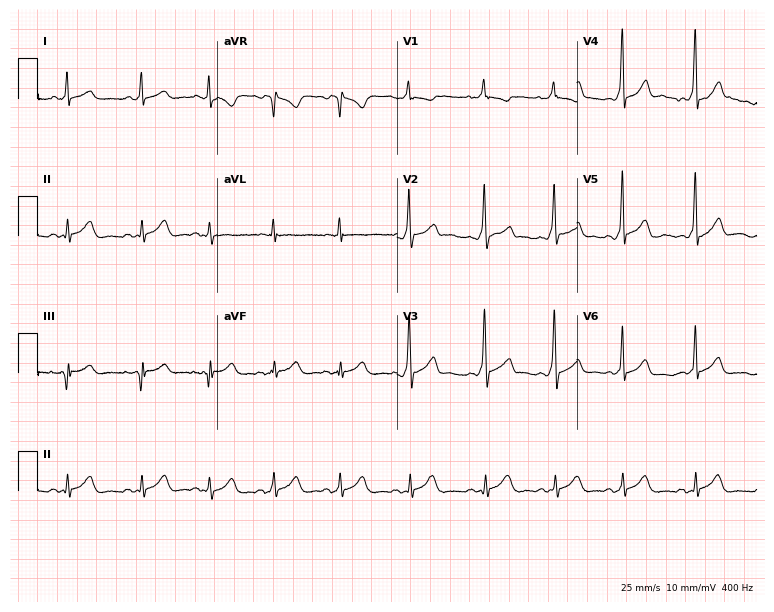
12-lead ECG (7.3-second recording at 400 Hz) from a female patient, 21 years old. Screened for six findings — first-degree AV block, right bundle branch block, left bundle branch block, sinus bradycardia, atrial fibrillation, sinus tachycardia — none is recorded.